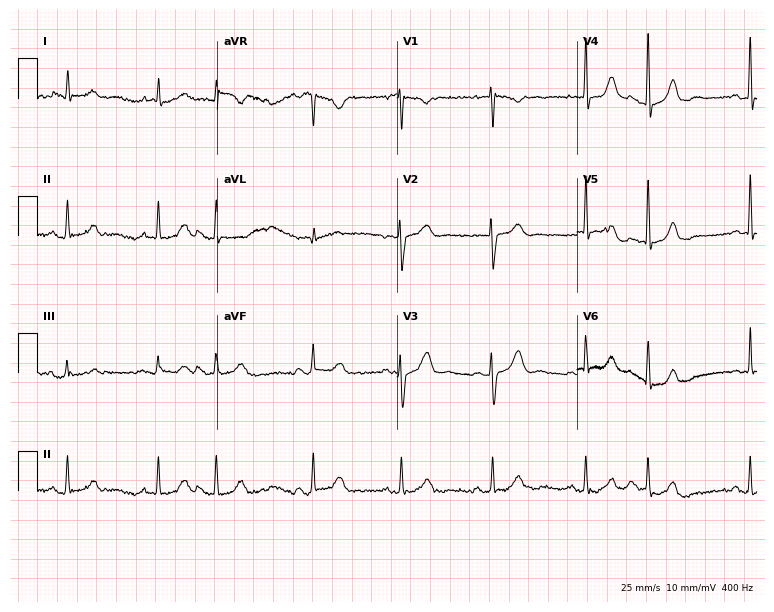
Electrocardiogram (7.3-second recording at 400 Hz), a 40-year-old woman. Overall reading on record: normal ECG.